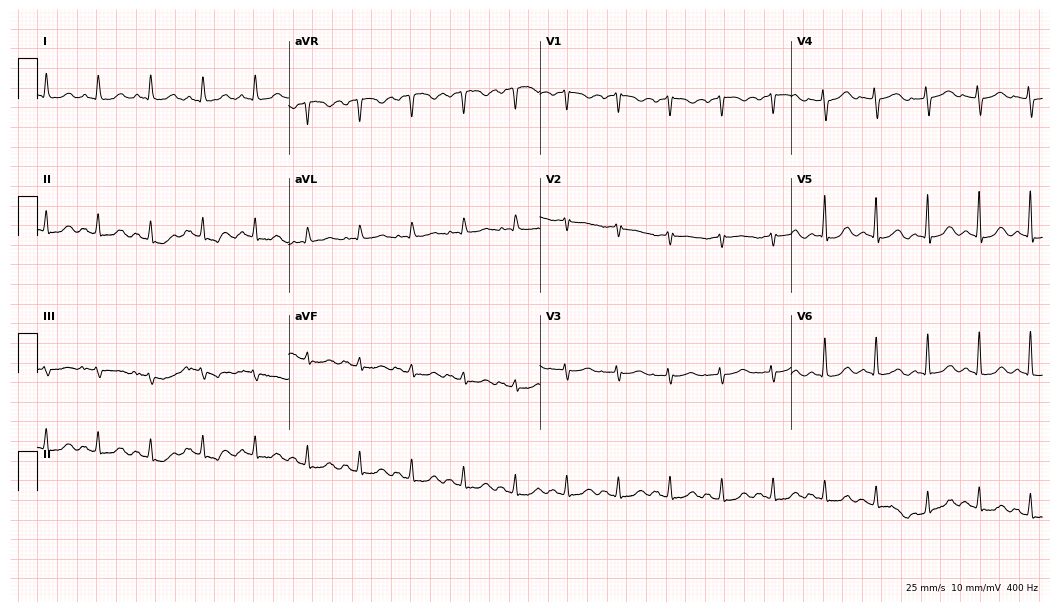
ECG — a female patient, 77 years old. Findings include sinus tachycardia (a sinus rate of 100 beats per minute or more).